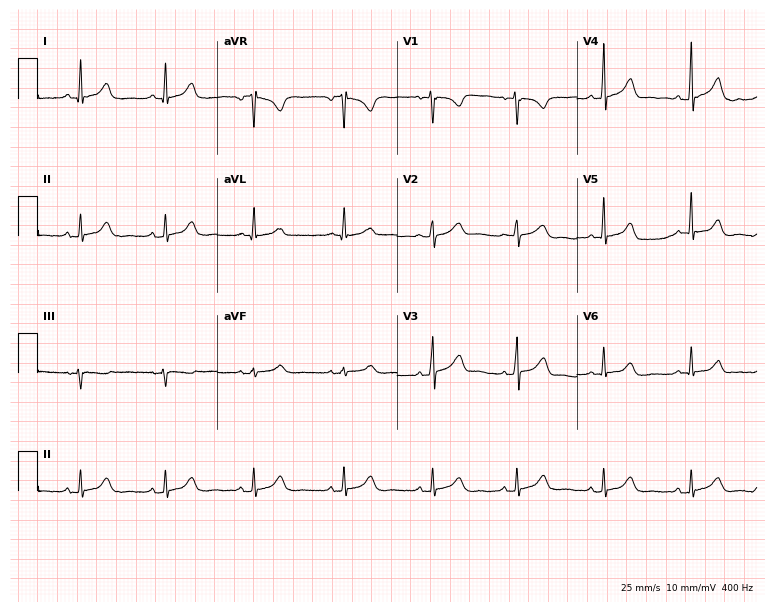
12-lead ECG from a 25-year-old female. Labelled as a normal ECG.